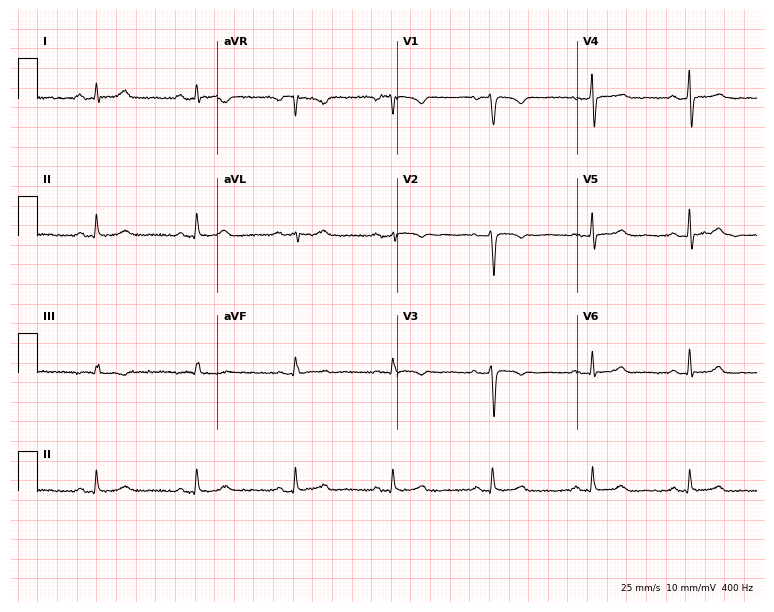
Standard 12-lead ECG recorded from a 63-year-old female patient. None of these six findings is recorded: first-degree AV block, right bundle branch block, left bundle branch block, sinus bradycardia, atrial fibrillation, sinus tachycardia.